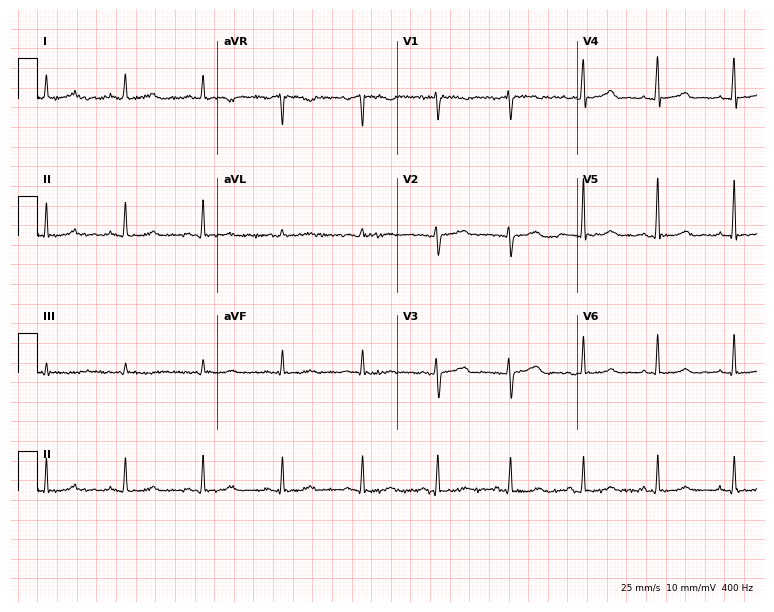
12-lead ECG (7.3-second recording at 400 Hz) from a 46-year-old female. Labelled as a normal ECG.